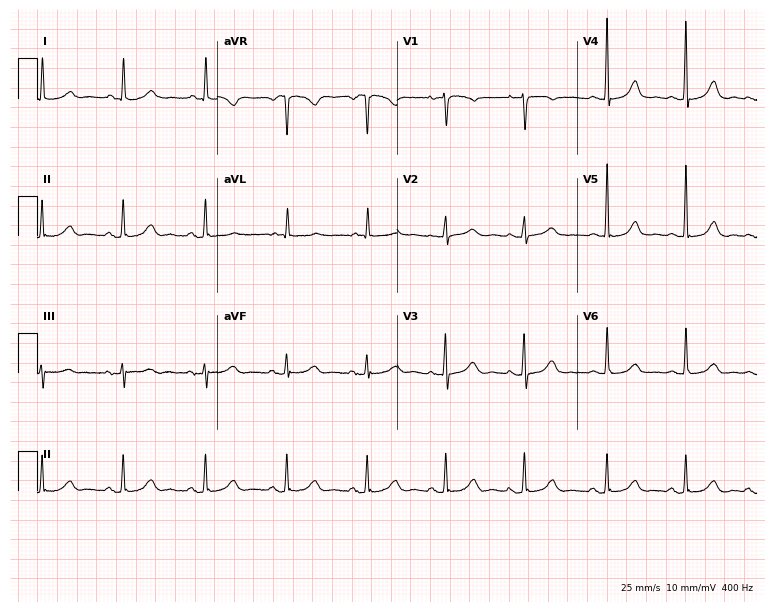
12-lead ECG from an 81-year-old female patient (7.3-second recording at 400 Hz). No first-degree AV block, right bundle branch block, left bundle branch block, sinus bradycardia, atrial fibrillation or sinus tachycardia recorded for this tracing. Only these six findings were labelled.